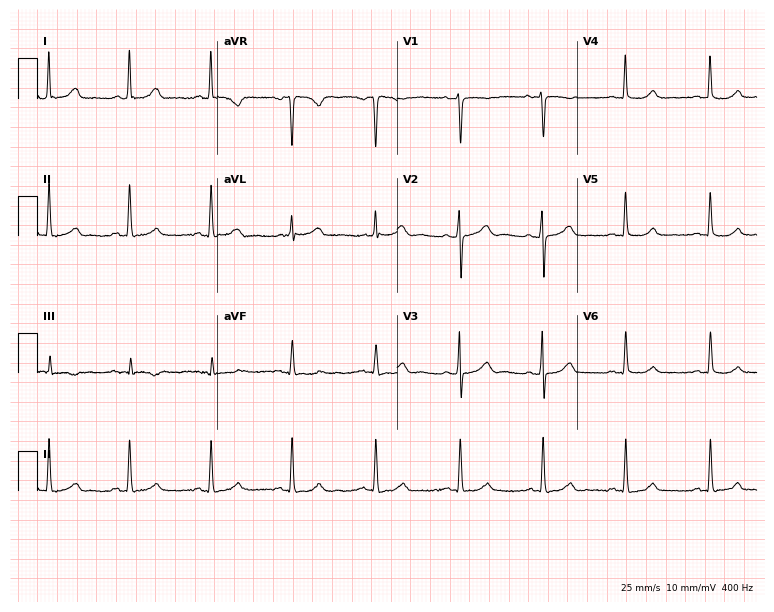
Electrocardiogram (7.3-second recording at 400 Hz), a female patient, 54 years old. Overall reading on record: normal ECG.